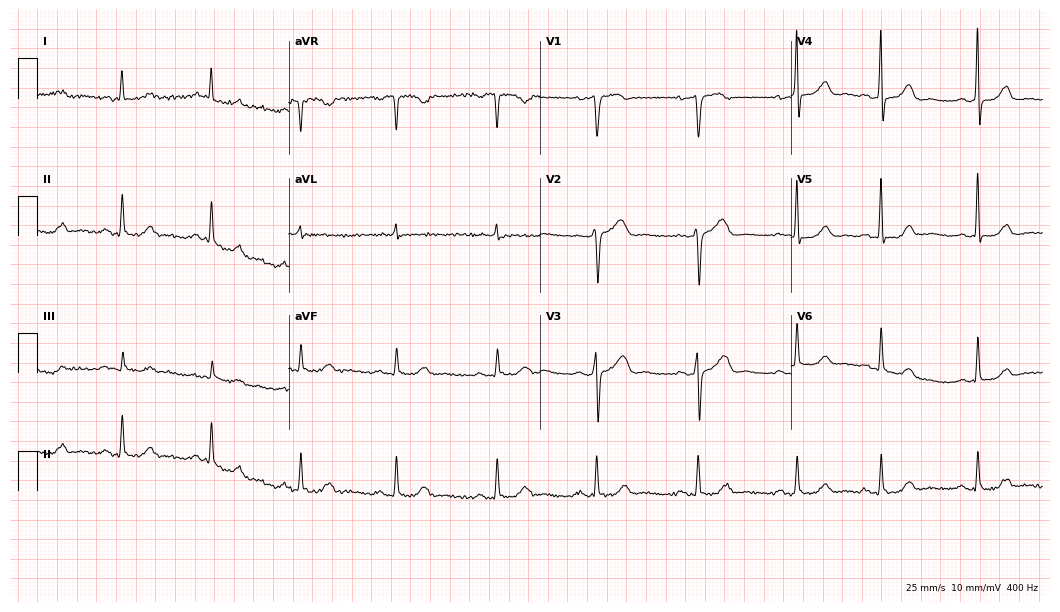
Resting 12-lead electrocardiogram. Patient: a 54-year-old female. Read as a normal ECG.